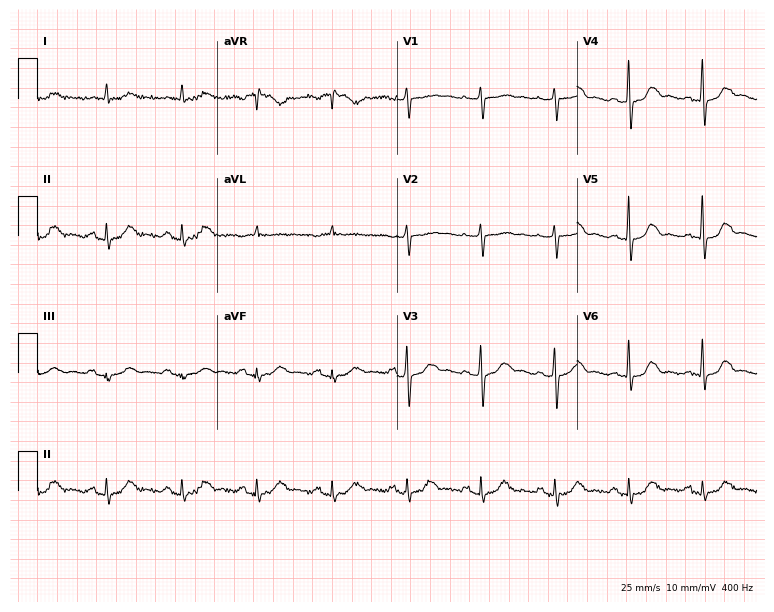
12-lead ECG from an 80-year-old male. Labelled as a normal ECG.